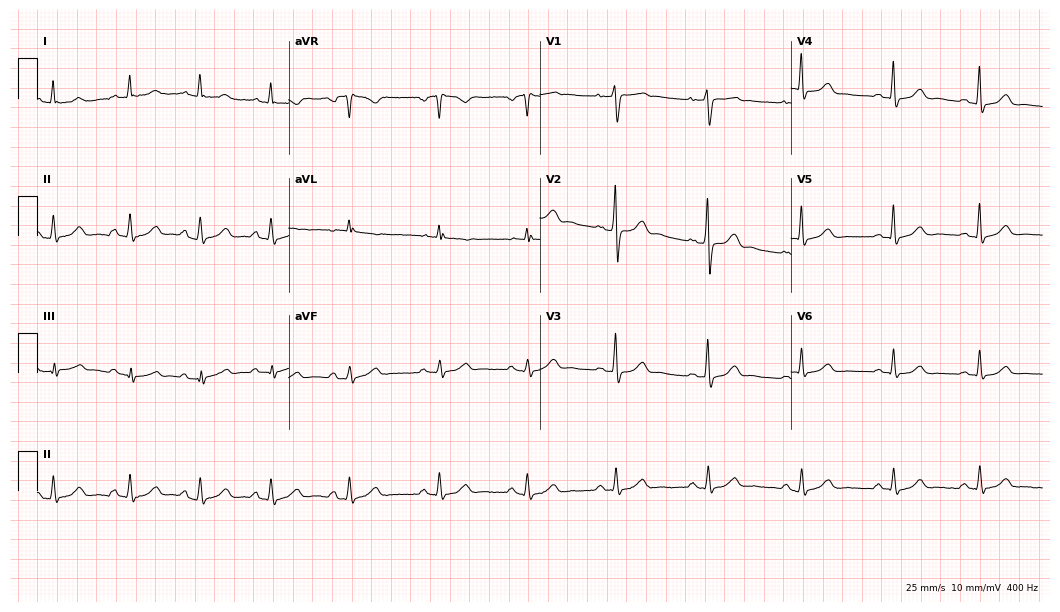
12-lead ECG from a 36-year-old female patient (10.2-second recording at 400 Hz). Recorded interpretation: within normal limits.